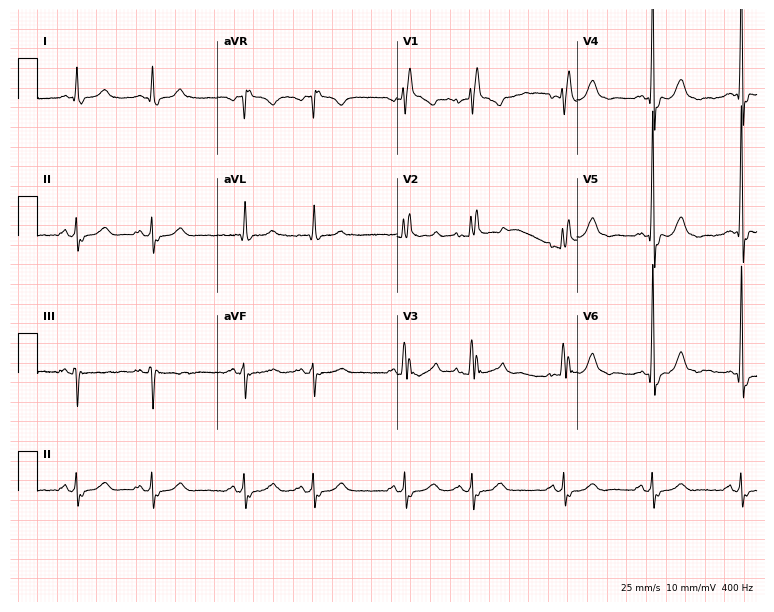
12-lead ECG from a 71-year-old male patient (7.3-second recording at 400 Hz). No first-degree AV block, right bundle branch block, left bundle branch block, sinus bradycardia, atrial fibrillation or sinus tachycardia recorded for this tracing.